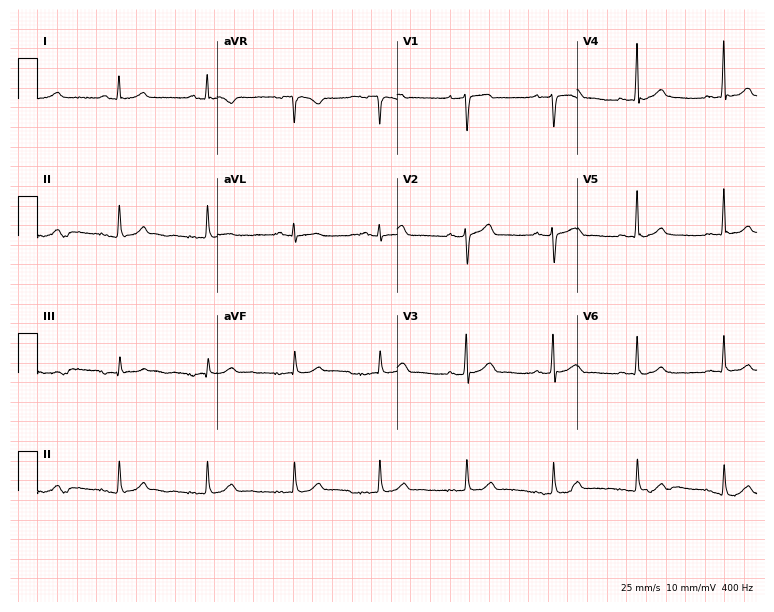
12-lead ECG from a male, 53 years old (7.3-second recording at 400 Hz). Recorded interpretation: within normal limits.